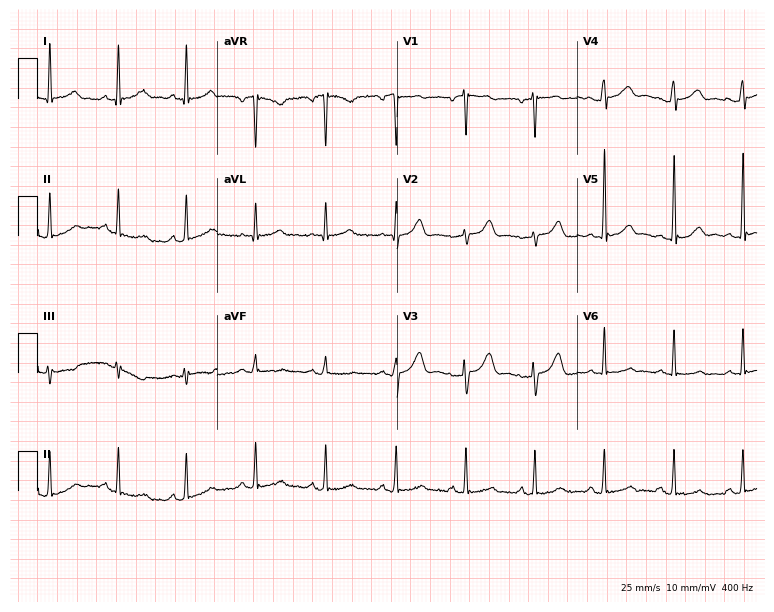
12-lead ECG from a woman, 59 years old. Labelled as a normal ECG.